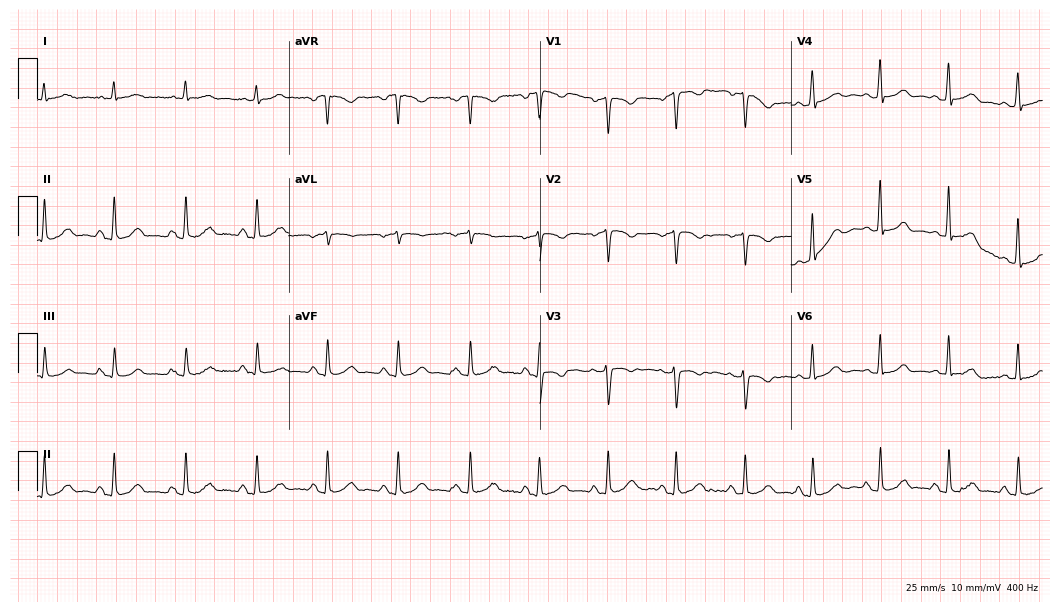
Standard 12-lead ECG recorded from a 58-year-old woman. Read as a normal ECG.